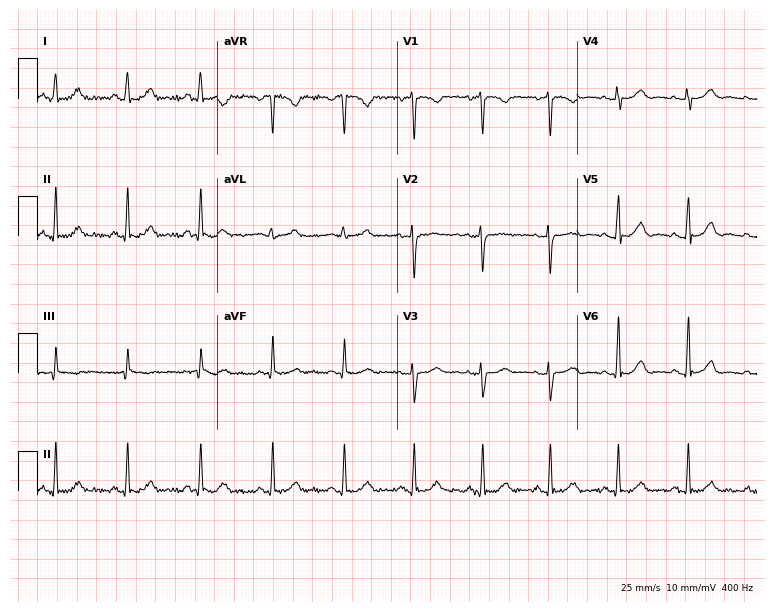
Resting 12-lead electrocardiogram. Patient: a 39-year-old female. None of these six findings is recorded: first-degree AV block, right bundle branch block, left bundle branch block, sinus bradycardia, atrial fibrillation, sinus tachycardia.